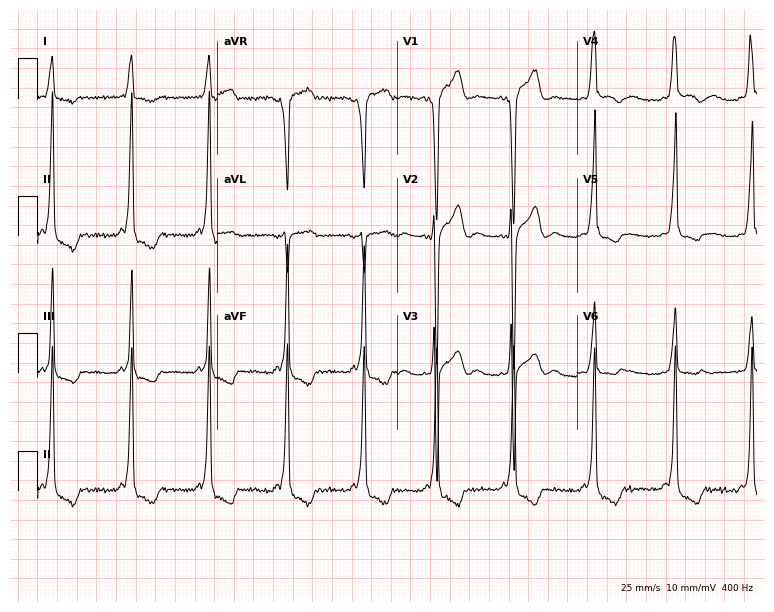
12-lead ECG from a 23-year-old male patient. No first-degree AV block, right bundle branch block (RBBB), left bundle branch block (LBBB), sinus bradycardia, atrial fibrillation (AF) or sinus tachycardia recorded for this tracing. Findings outside these six are not listed.